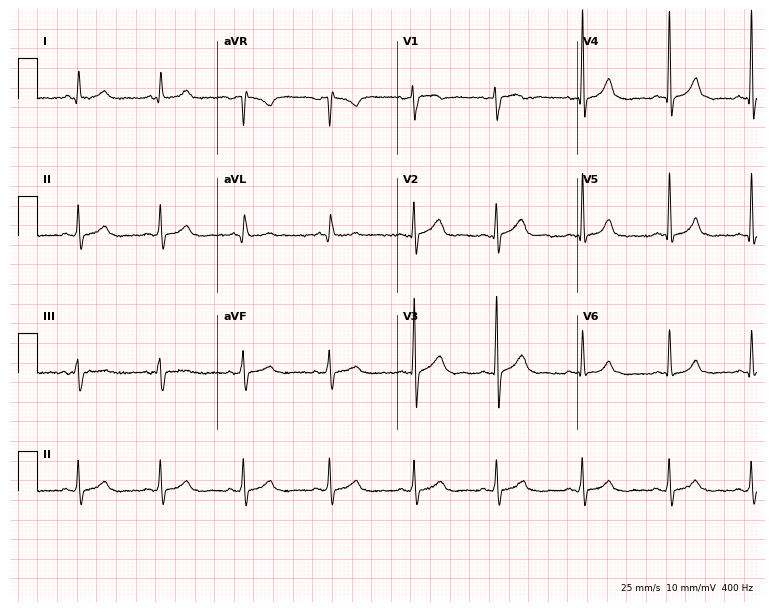
Standard 12-lead ECG recorded from a 32-year-old female. Read as a normal ECG.